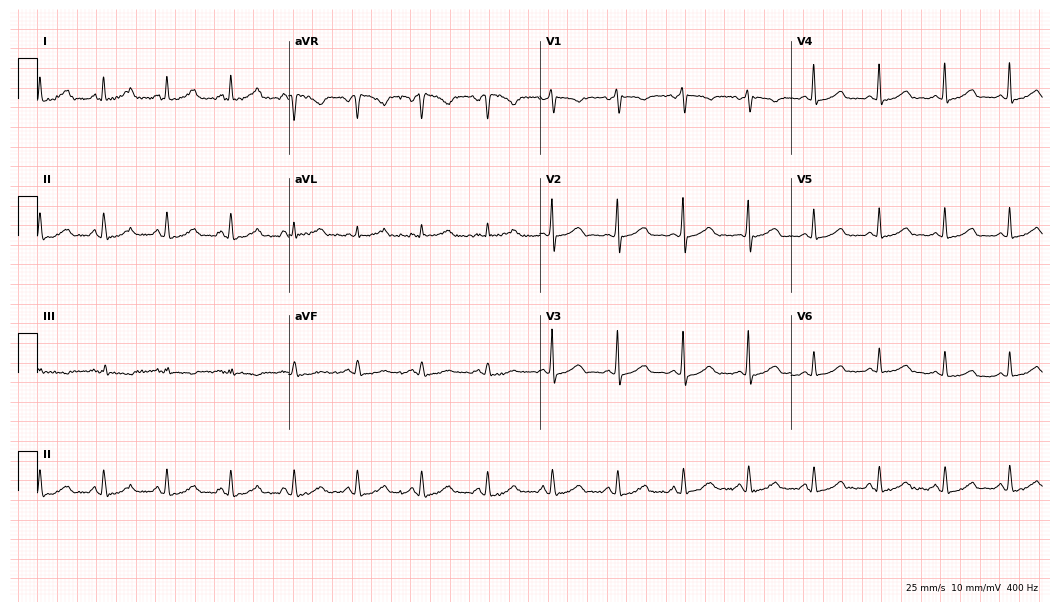
Standard 12-lead ECG recorded from a 56-year-old female (10.2-second recording at 400 Hz). Read as a normal ECG.